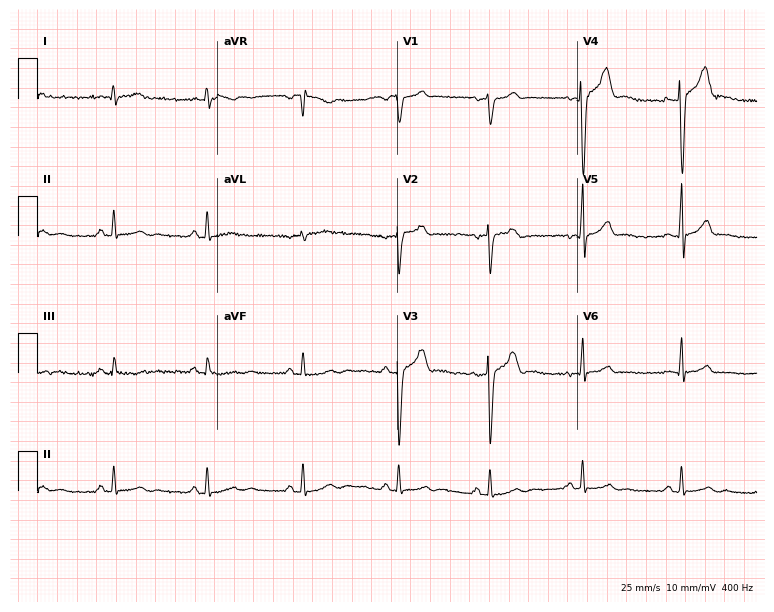
Resting 12-lead electrocardiogram (7.3-second recording at 400 Hz). Patient: a 24-year-old male. None of these six findings is recorded: first-degree AV block, right bundle branch block, left bundle branch block, sinus bradycardia, atrial fibrillation, sinus tachycardia.